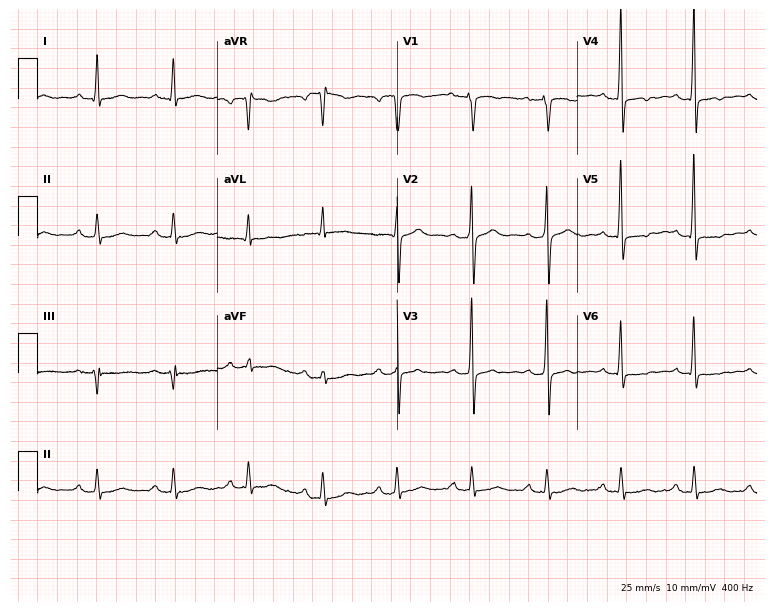
Resting 12-lead electrocardiogram. Patient: a 65-year-old man. None of these six findings is recorded: first-degree AV block, right bundle branch block, left bundle branch block, sinus bradycardia, atrial fibrillation, sinus tachycardia. Other findings, if any, are not listed.